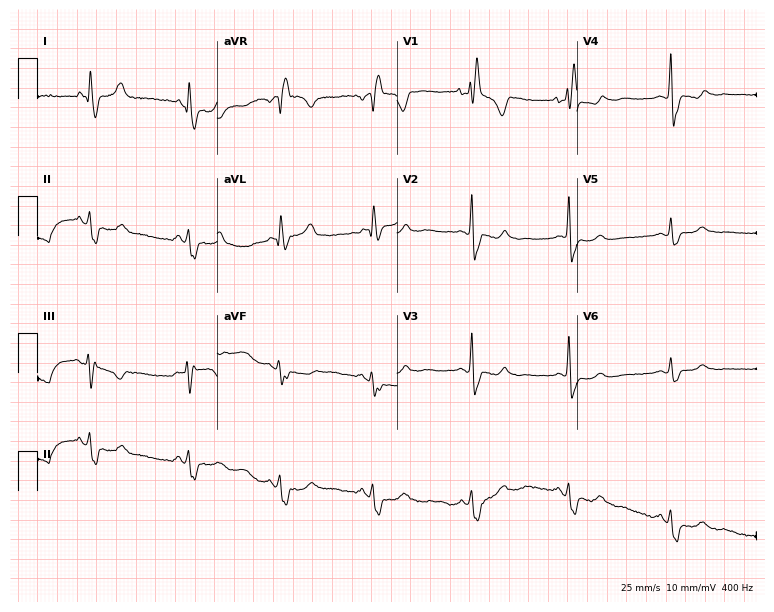
12-lead ECG (7.3-second recording at 400 Hz) from a woman, 51 years old. Findings include right bundle branch block.